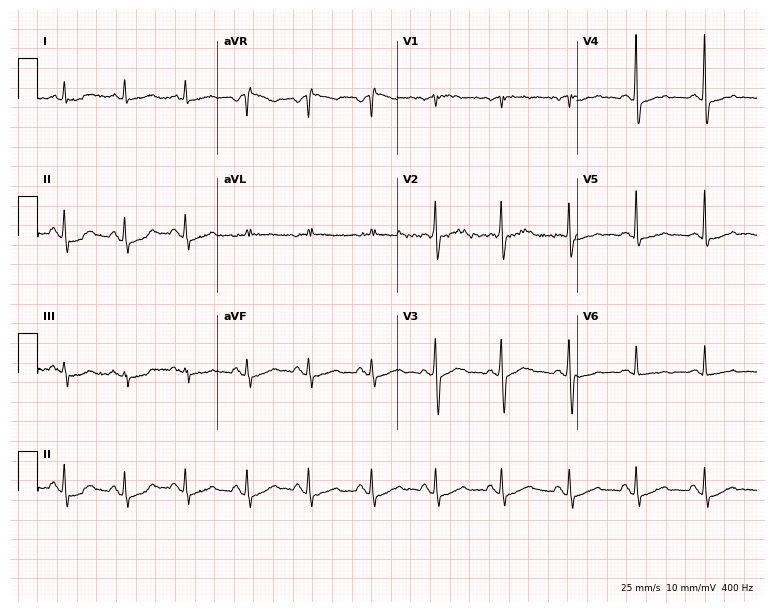
Standard 12-lead ECG recorded from a 79-year-old female patient (7.3-second recording at 400 Hz). None of these six findings is recorded: first-degree AV block, right bundle branch block, left bundle branch block, sinus bradycardia, atrial fibrillation, sinus tachycardia.